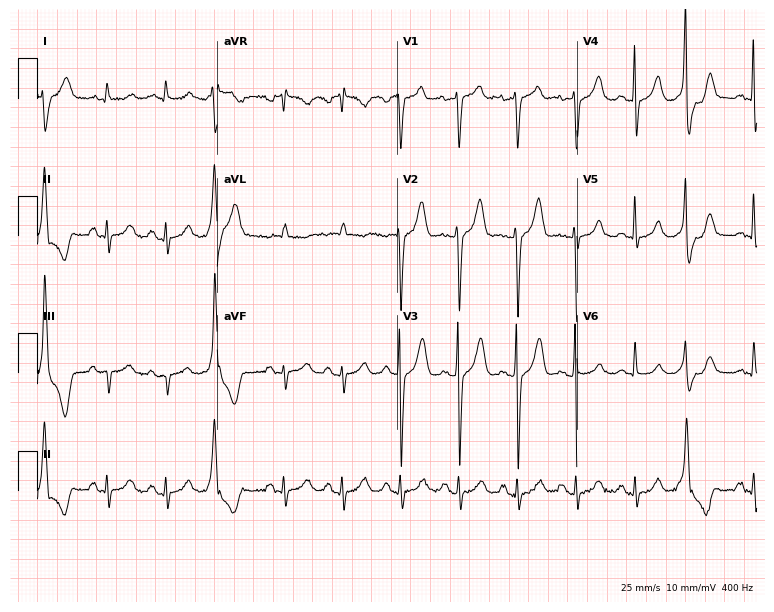
Resting 12-lead electrocardiogram. Patient: a male, 48 years old. The tracing shows sinus tachycardia (a sinus rate of 100 beats per minute or more).